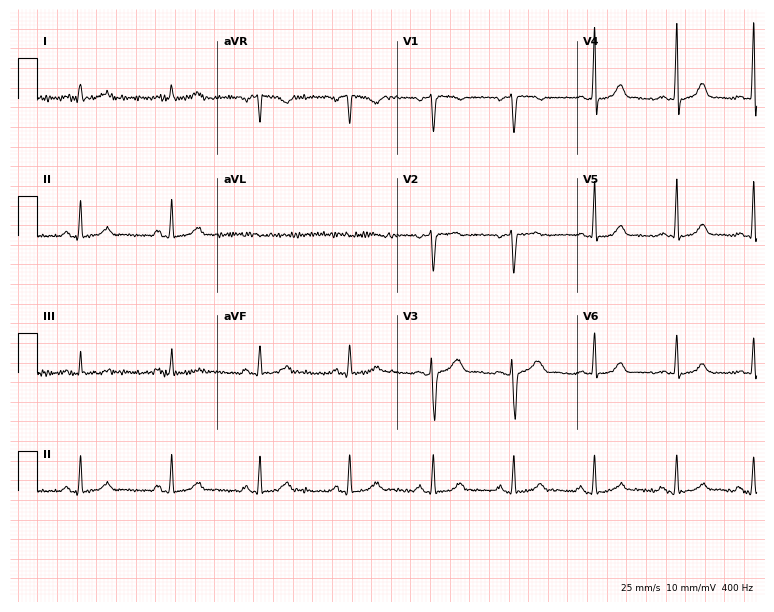
Electrocardiogram (7.3-second recording at 400 Hz), a woman, 40 years old. Of the six screened findings (first-degree AV block, right bundle branch block (RBBB), left bundle branch block (LBBB), sinus bradycardia, atrial fibrillation (AF), sinus tachycardia), none is recorded.